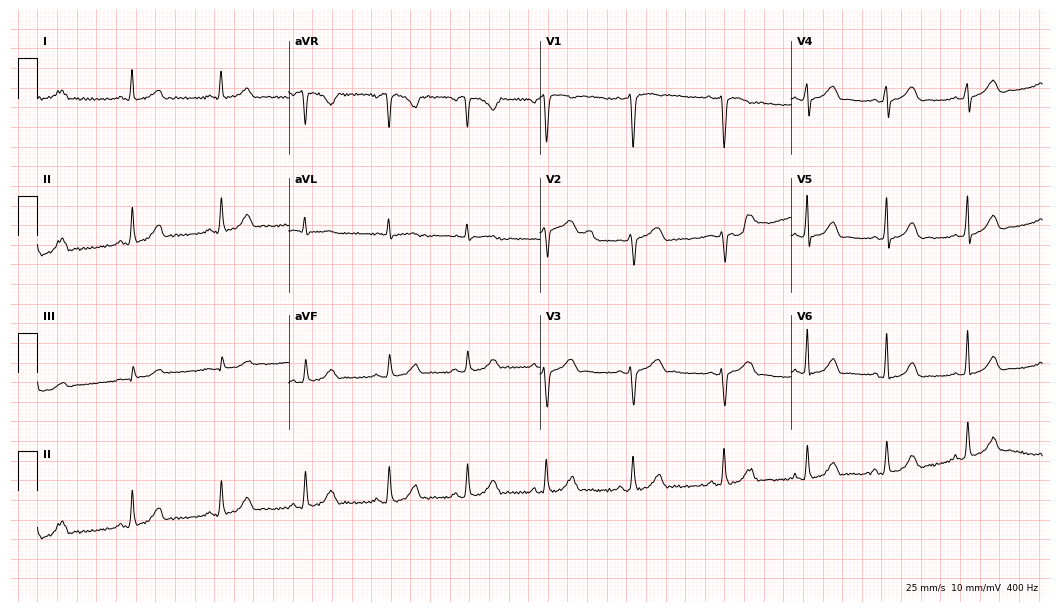
Standard 12-lead ECG recorded from a 25-year-old woman. Read as a normal ECG.